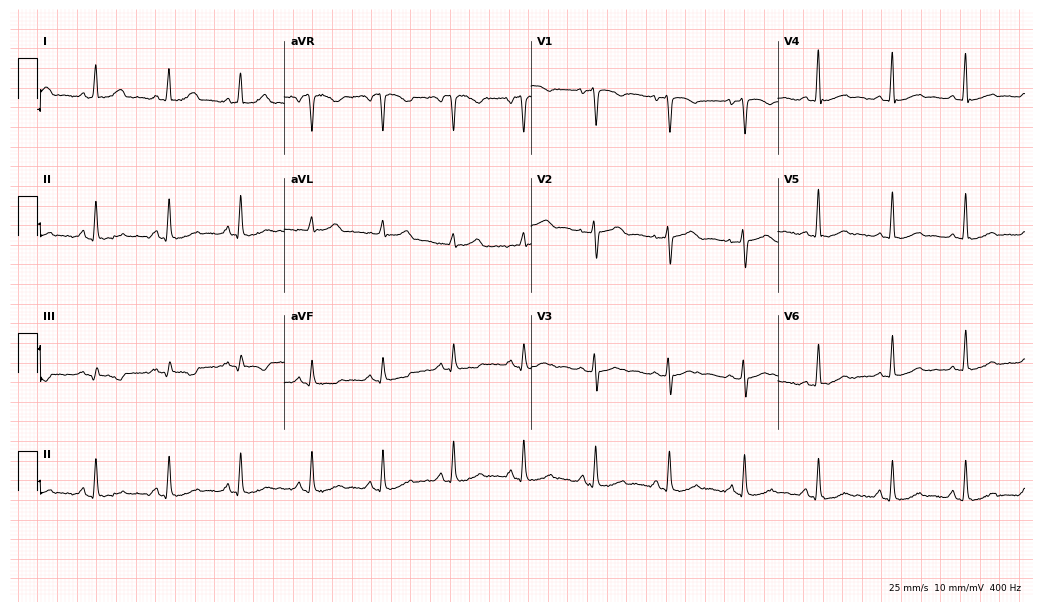
ECG — a female, 55 years old. Screened for six findings — first-degree AV block, right bundle branch block, left bundle branch block, sinus bradycardia, atrial fibrillation, sinus tachycardia — none is recorded. Other findings, if any, are not listed.